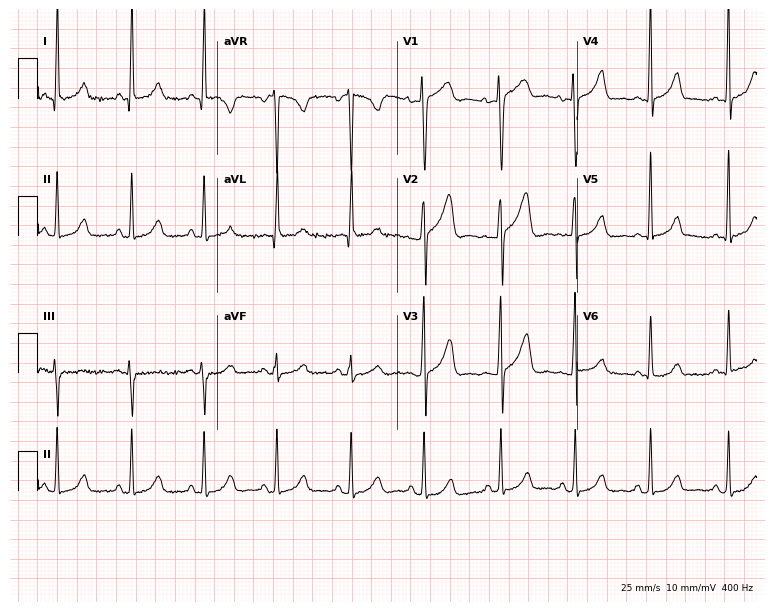
12-lead ECG from a 28-year-old woman. No first-degree AV block, right bundle branch block, left bundle branch block, sinus bradycardia, atrial fibrillation or sinus tachycardia recorded for this tracing. Findings outside these six are not listed.